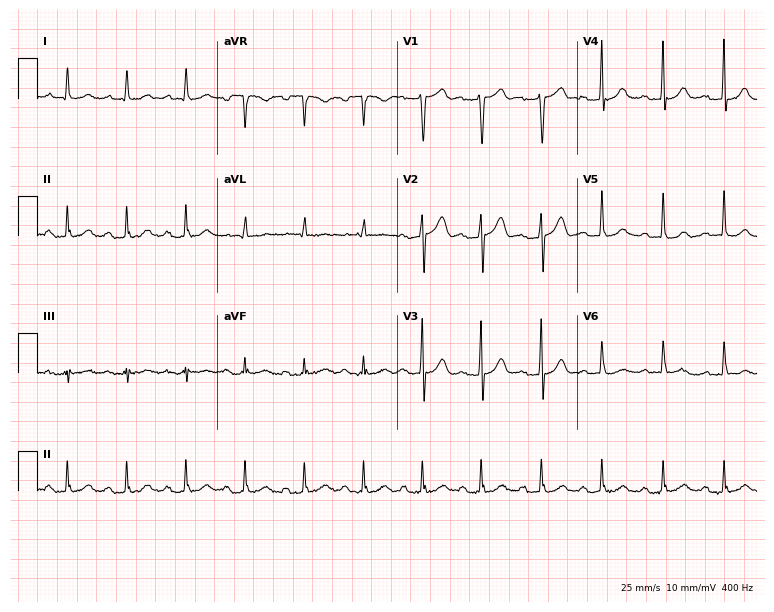
Resting 12-lead electrocardiogram. Patient: a male, 47 years old. None of these six findings is recorded: first-degree AV block, right bundle branch block, left bundle branch block, sinus bradycardia, atrial fibrillation, sinus tachycardia.